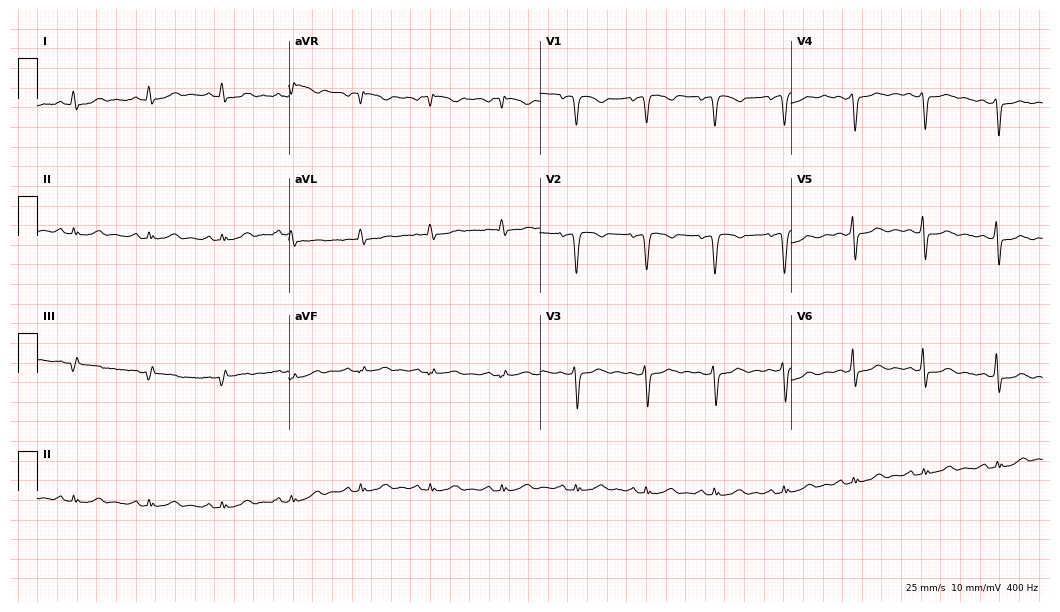
Resting 12-lead electrocardiogram. Patient: a female, 54 years old. Read as a normal ECG.